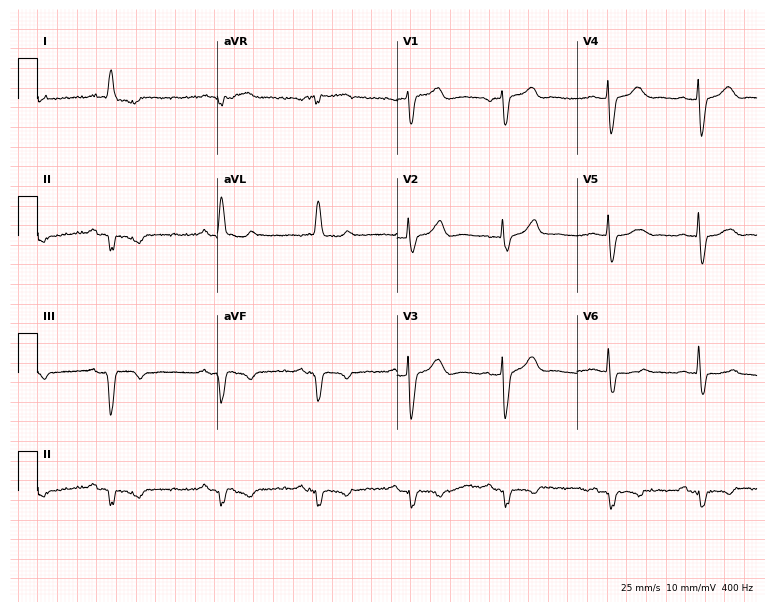
Electrocardiogram, a man, 68 years old. Of the six screened findings (first-degree AV block, right bundle branch block, left bundle branch block, sinus bradycardia, atrial fibrillation, sinus tachycardia), none is recorded. Other findings, if any, are not listed.